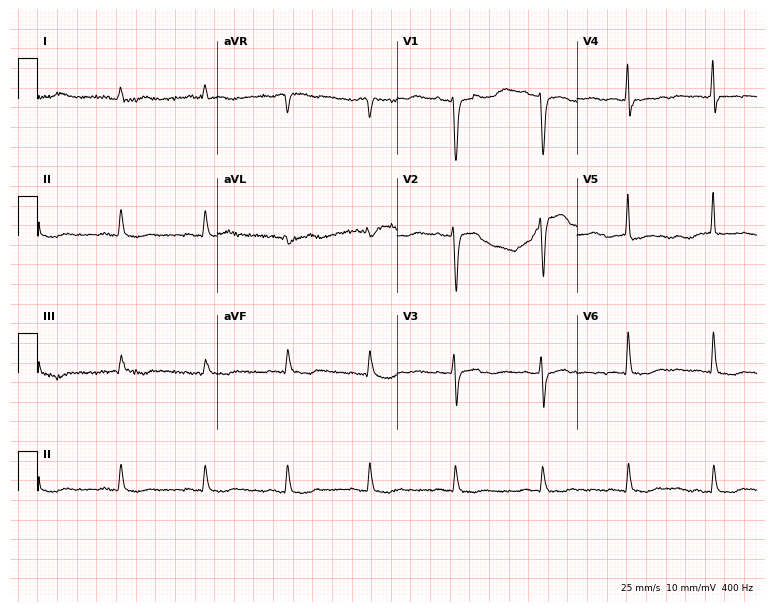
12-lead ECG from a 67-year-old female patient. Screened for six findings — first-degree AV block, right bundle branch block, left bundle branch block, sinus bradycardia, atrial fibrillation, sinus tachycardia — none is recorded.